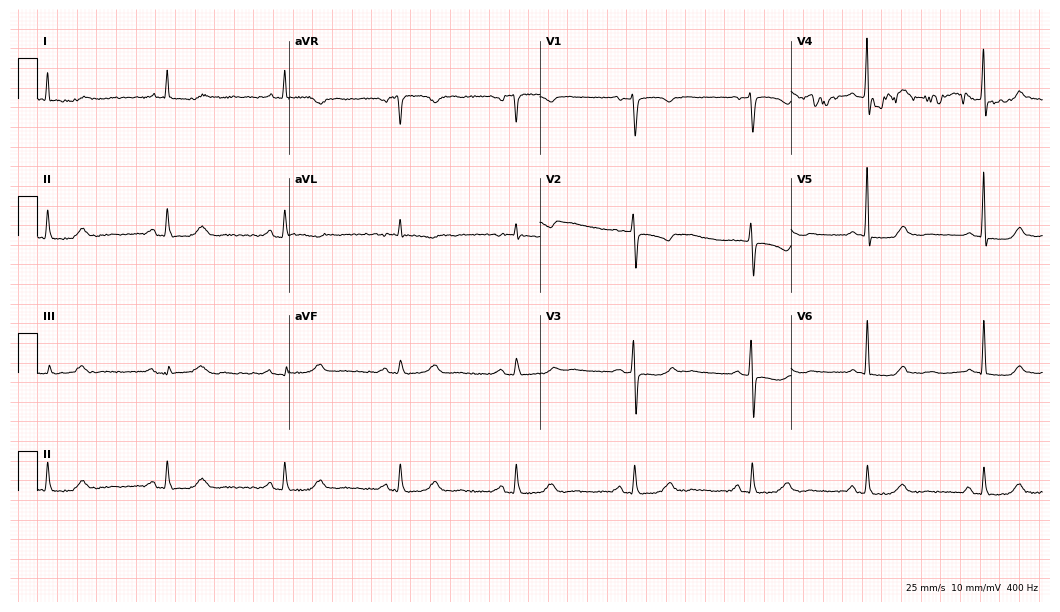
12-lead ECG from a female, 67 years old (10.2-second recording at 400 Hz). No first-degree AV block, right bundle branch block (RBBB), left bundle branch block (LBBB), sinus bradycardia, atrial fibrillation (AF) or sinus tachycardia recorded for this tracing. Findings outside these six are not listed.